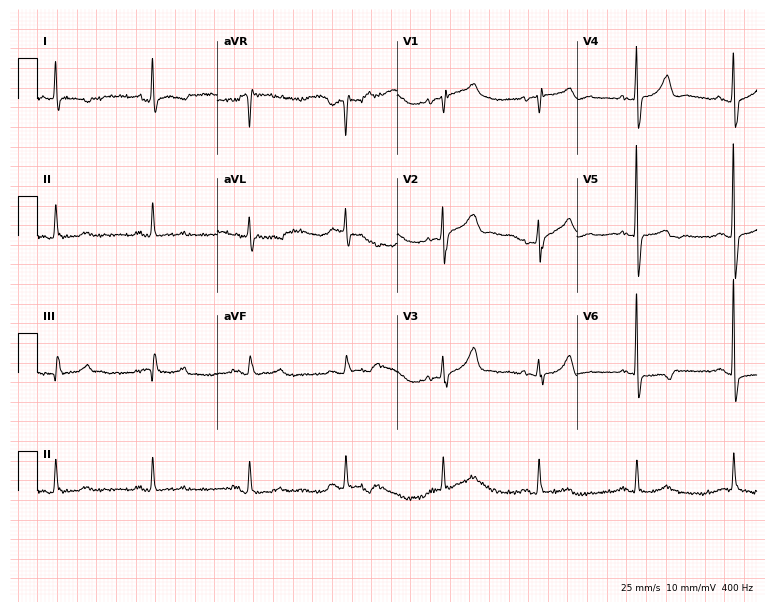
Resting 12-lead electrocardiogram (7.3-second recording at 400 Hz). Patient: an 82-year-old female. None of these six findings is recorded: first-degree AV block, right bundle branch block, left bundle branch block, sinus bradycardia, atrial fibrillation, sinus tachycardia. Findings outside these six are not listed.